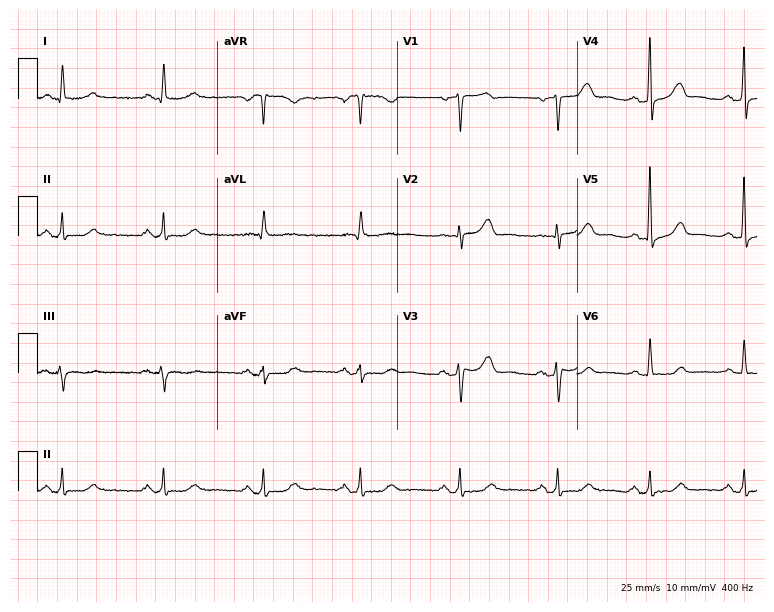
ECG (7.3-second recording at 400 Hz) — a 64-year-old female patient. Labelled as a normal ECG.